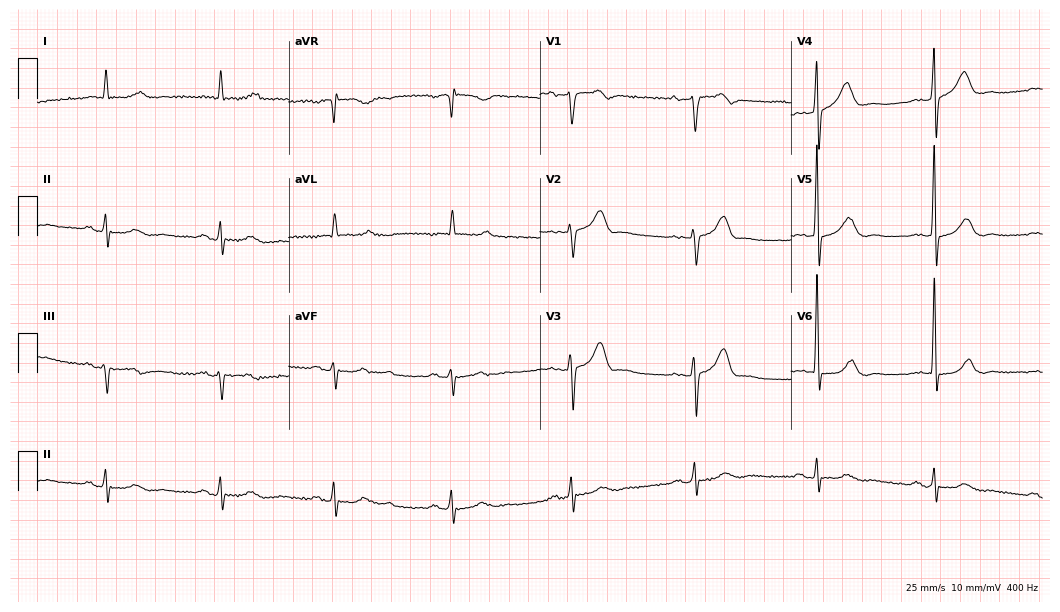
Standard 12-lead ECG recorded from a man, 84 years old (10.2-second recording at 400 Hz). None of these six findings is recorded: first-degree AV block, right bundle branch block, left bundle branch block, sinus bradycardia, atrial fibrillation, sinus tachycardia.